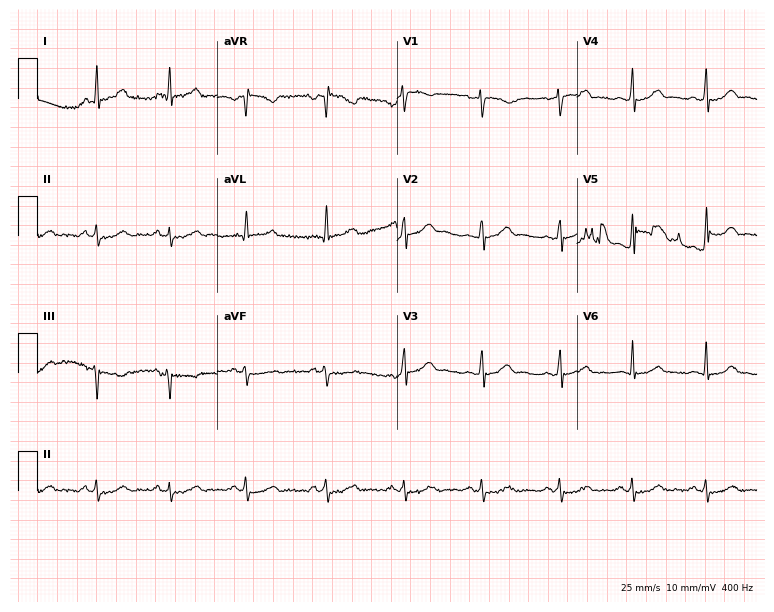
ECG (7.3-second recording at 400 Hz) — a female, 33 years old. Labelled as a normal ECG.